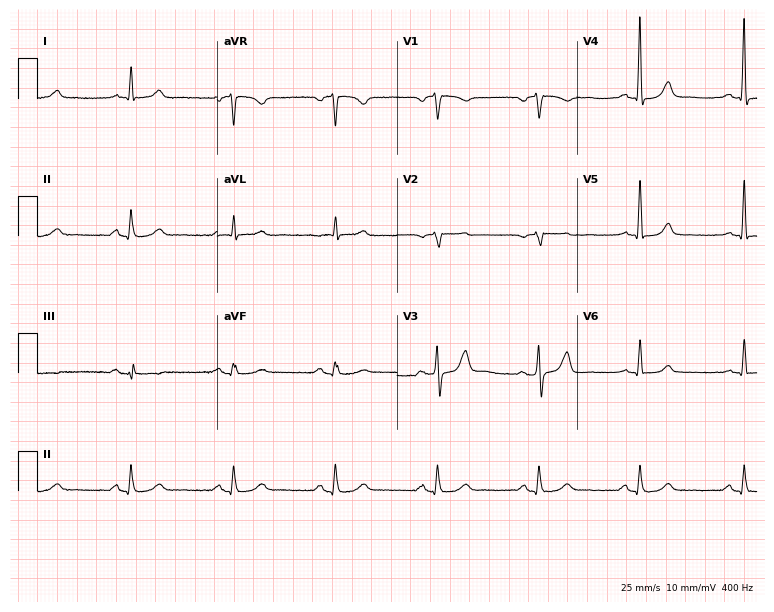
12-lead ECG from a male patient, 72 years old. Screened for six findings — first-degree AV block, right bundle branch block, left bundle branch block, sinus bradycardia, atrial fibrillation, sinus tachycardia — none is recorded. Only these six findings were labelled.